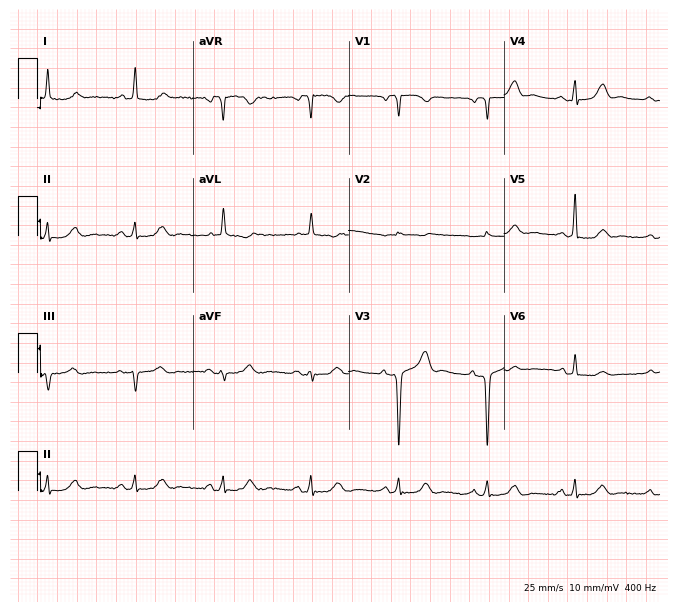
Electrocardiogram, a 79-year-old male patient. Of the six screened findings (first-degree AV block, right bundle branch block, left bundle branch block, sinus bradycardia, atrial fibrillation, sinus tachycardia), none is recorded. Findings outside these six are not listed.